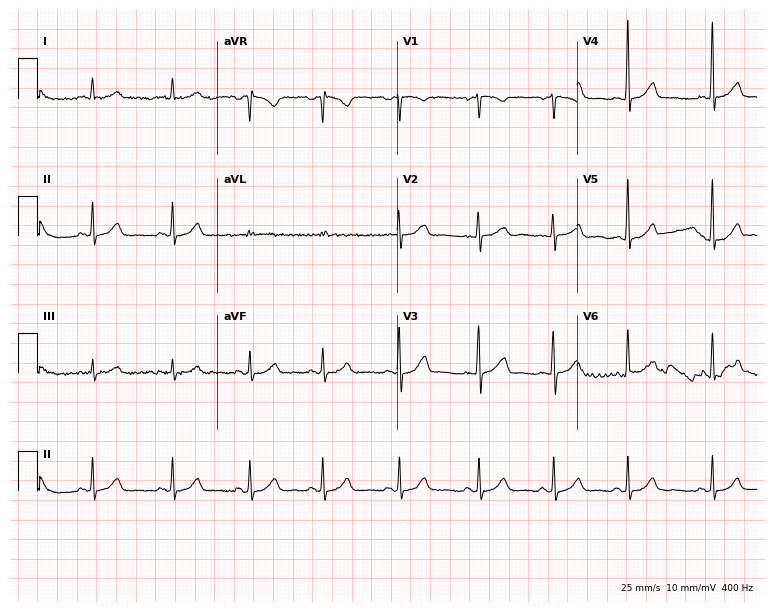
Electrocardiogram, a female, 42 years old. Overall reading on record: normal ECG.